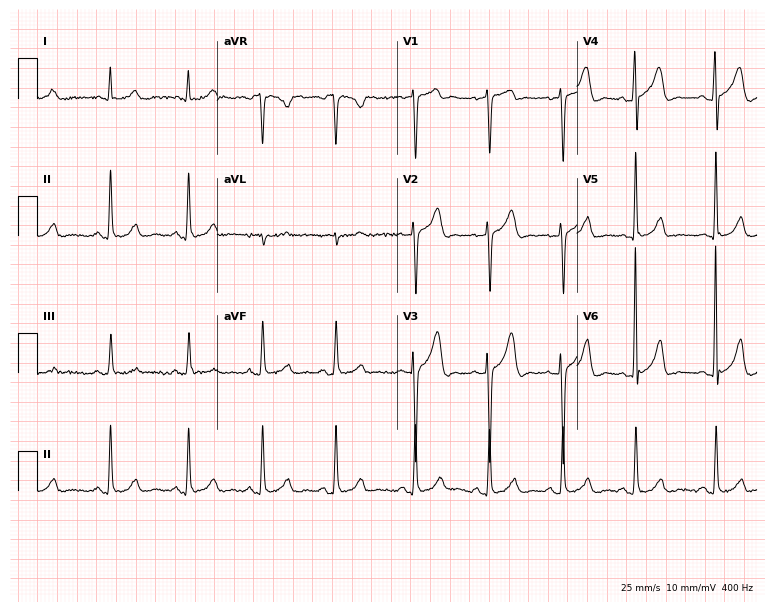
Standard 12-lead ECG recorded from a 37-year-old male. Read as a normal ECG.